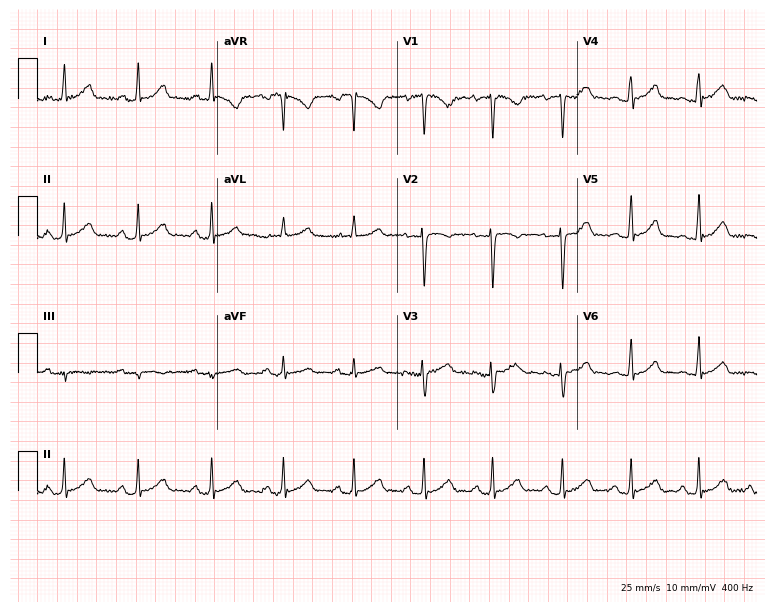
Standard 12-lead ECG recorded from a 29-year-old female patient. None of these six findings is recorded: first-degree AV block, right bundle branch block (RBBB), left bundle branch block (LBBB), sinus bradycardia, atrial fibrillation (AF), sinus tachycardia.